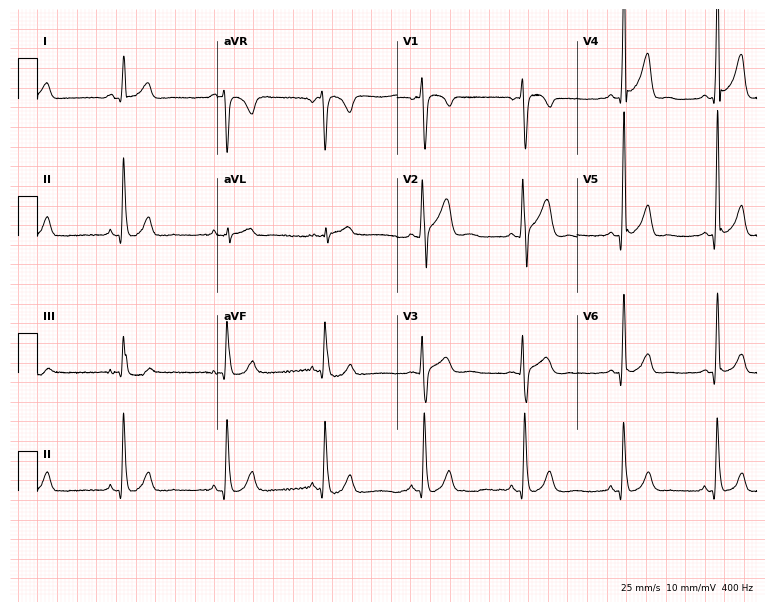
Electrocardiogram (7.3-second recording at 400 Hz), a 22-year-old man. Overall reading on record: normal ECG.